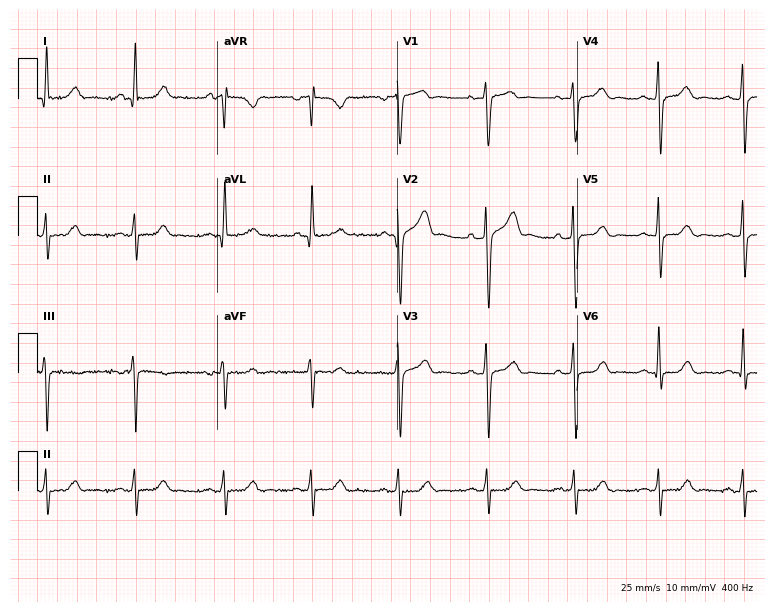
ECG (7.3-second recording at 400 Hz) — a 47-year-old man. Screened for six findings — first-degree AV block, right bundle branch block (RBBB), left bundle branch block (LBBB), sinus bradycardia, atrial fibrillation (AF), sinus tachycardia — none is recorded. Other findings, if any, are not listed.